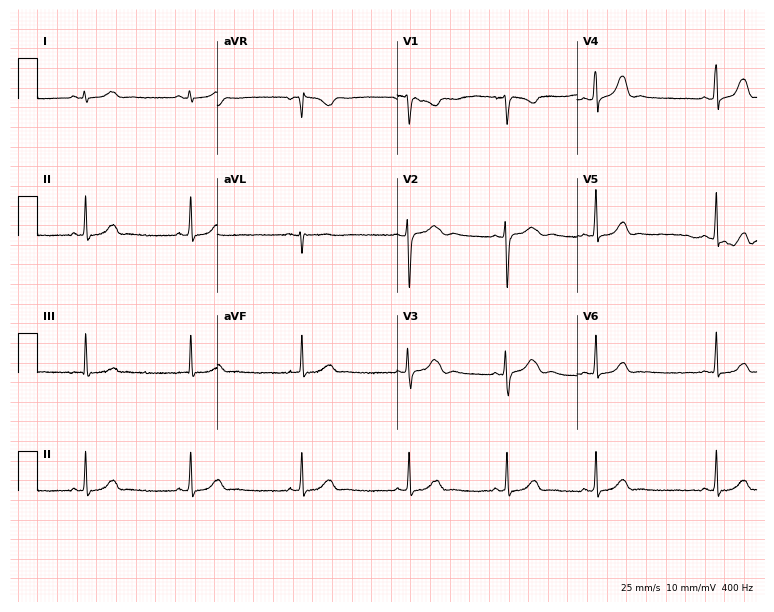
12-lead ECG (7.3-second recording at 400 Hz) from an 18-year-old female patient. Labelled as a normal ECG.